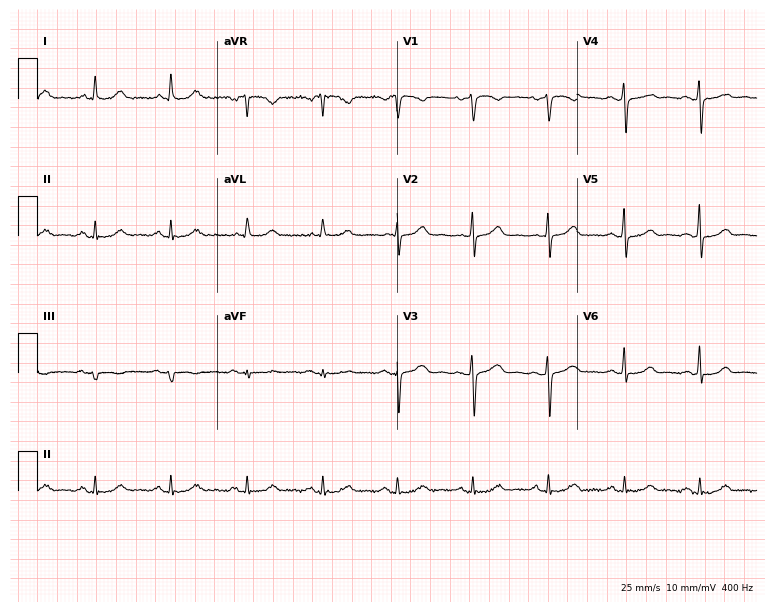
12-lead ECG (7.3-second recording at 400 Hz) from a 62-year-old female patient. Labelled as a normal ECG.